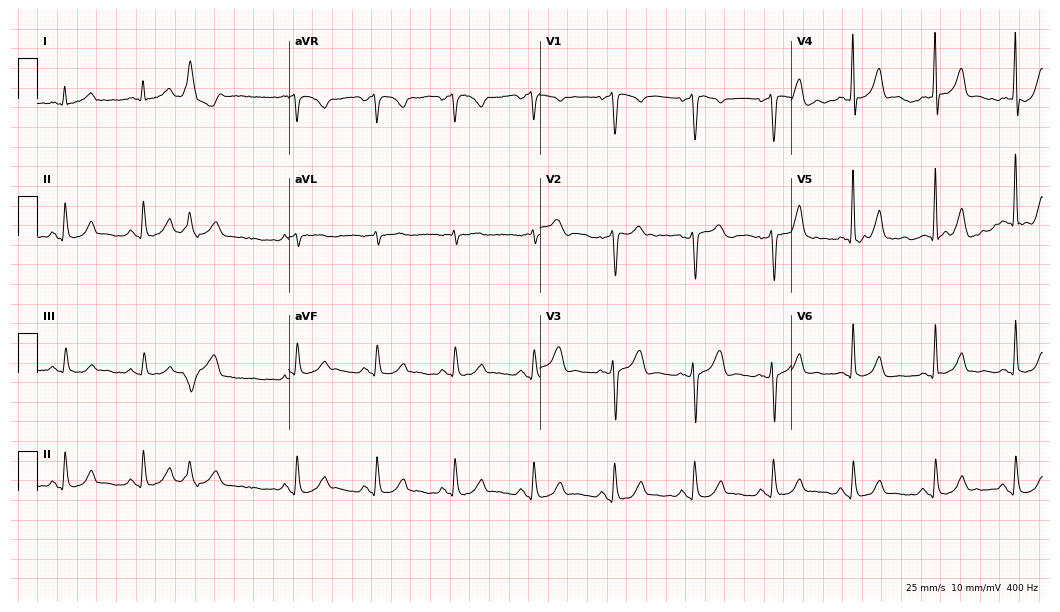
12-lead ECG from a male patient, 67 years old. Recorded interpretation: within normal limits.